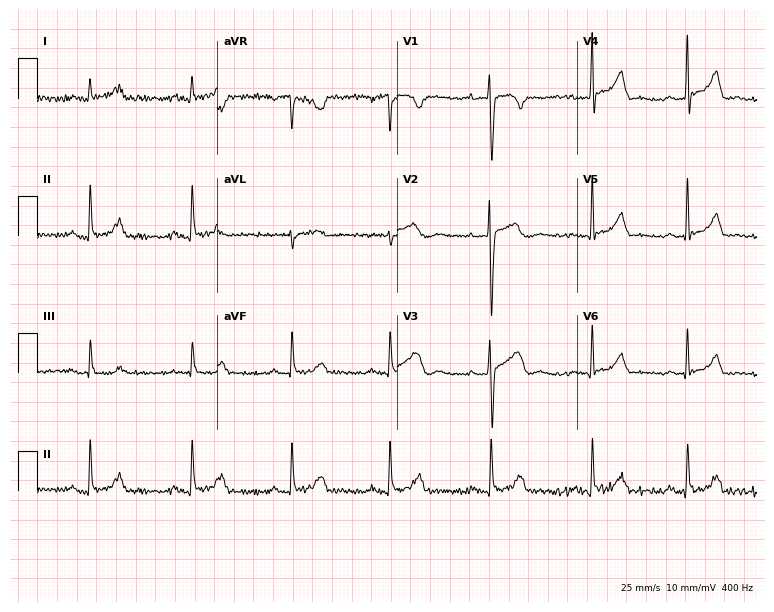
12-lead ECG from a 36-year-old man. Recorded interpretation: within normal limits.